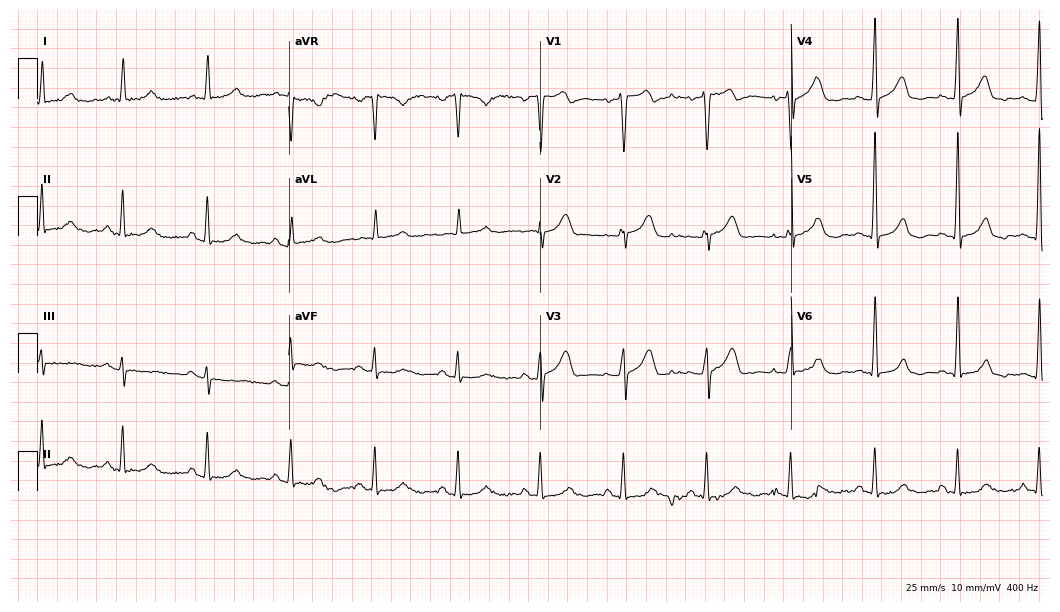
Resting 12-lead electrocardiogram (10.2-second recording at 400 Hz). Patient: a male, 71 years old. None of these six findings is recorded: first-degree AV block, right bundle branch block, left bundle branch block, sinus bradycardia, atrial fibrillation, sinus tachycardia.